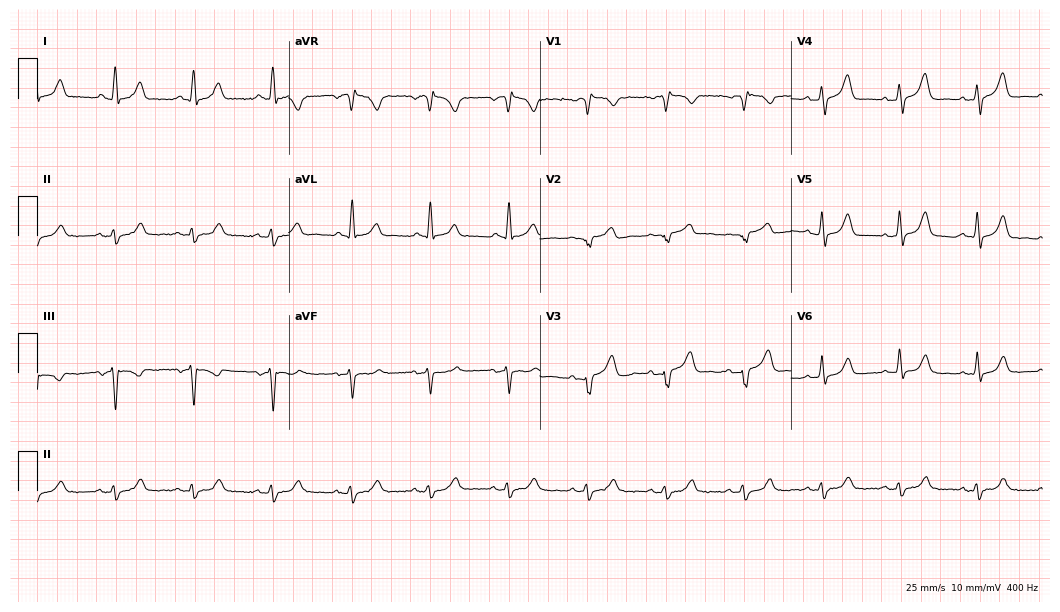
Standard 12-lead ECG recorded from an 84-year-old female patient (10.2-second recording at 400 Hz). None of these six findings is recorded: first-degree AV block, right bundle branch block, left bundle branch block, sinus bradycardia, atrial fibrillation, sinus tachycardia. Findings outside these six are not listed.